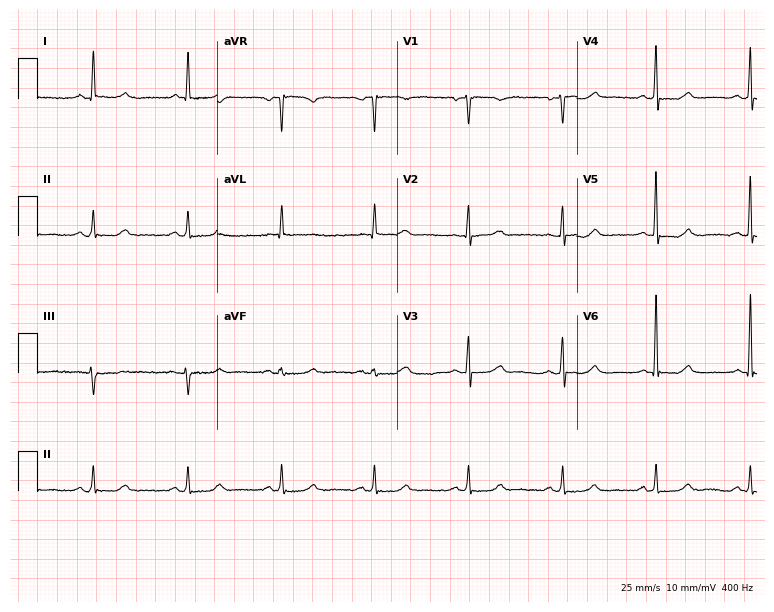
Electrocardiogram (7.3-second recording at 400 Hz), a 79-year-old female patient. Overall reading on record: normal ECG.